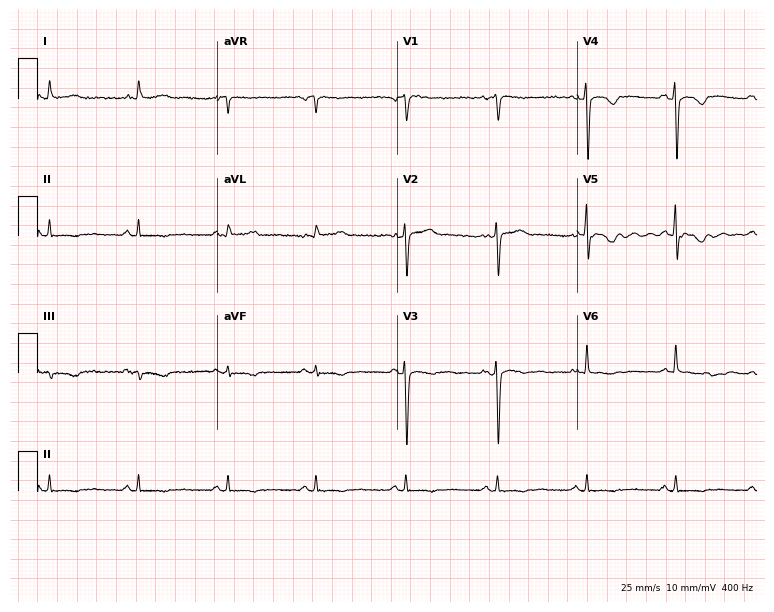
Electrocardiogram, a woman, 39 years old. Of the six screened findings (first-degree AV block, right bundle branch block, left bundle branch block, sinus bradycardia, atrial fibrillation, sinus tachycardia), none is recorded.